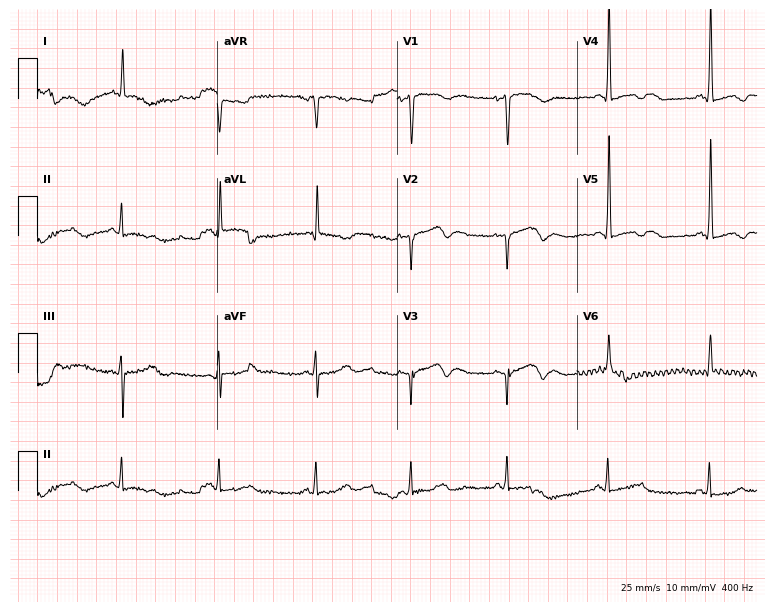
ECG (7.3-second recording at 400 Hz) — a 76-year-old man. Screened for six findings — first-degree AV block, right bundle branch block, left bundle branch block, sinus bradycardia, atrial fibrillation, sinus tachycardia — none is recorded. Only these six findings were labelled.